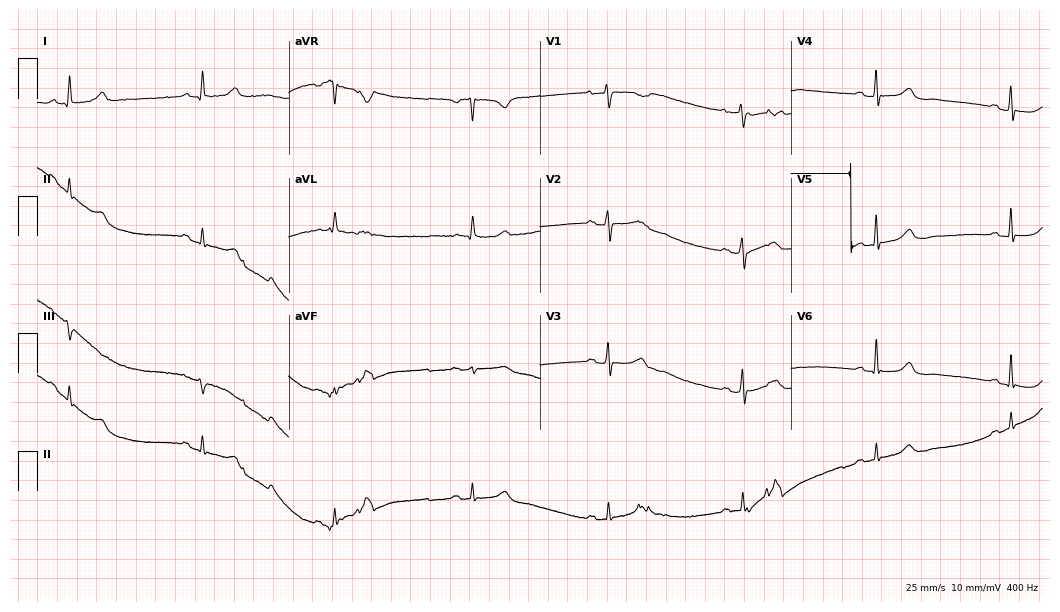
Resting 12-lead electrocardiogram. Patient: a female, 72 years old. The tracing shows atrial fibrillation.